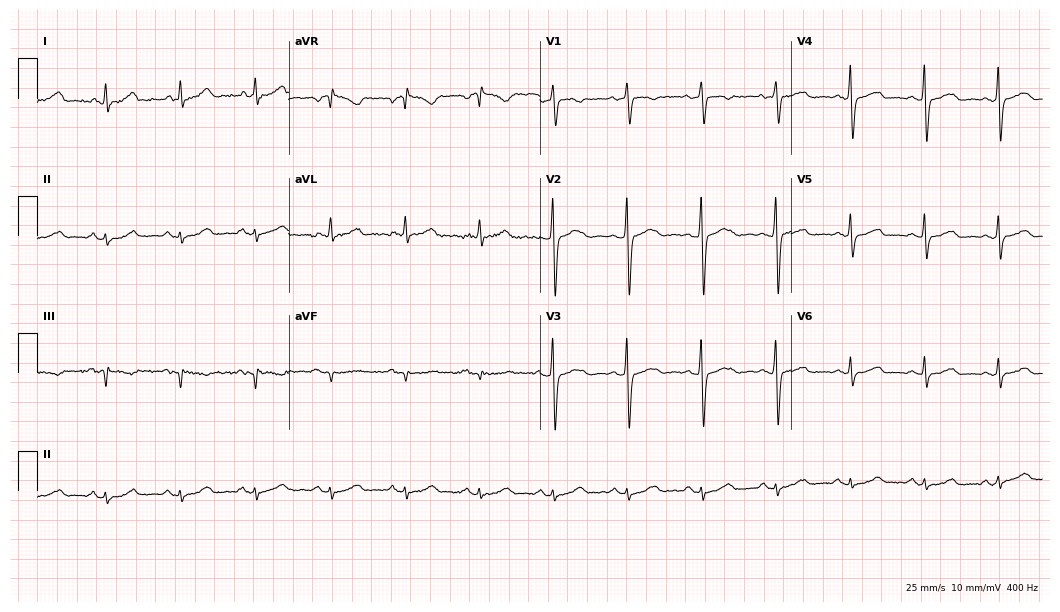
Electrocardiogram (10.2-second recording at 400 Hz), a 69-year-old female. Of the six screened findings (first-degree AV block, right bundle branch block, left bundle branch block, sinus bradycardia, atrial fibrillation, sinus tachycardia), none is recorded. Findings outside these six are not listed.